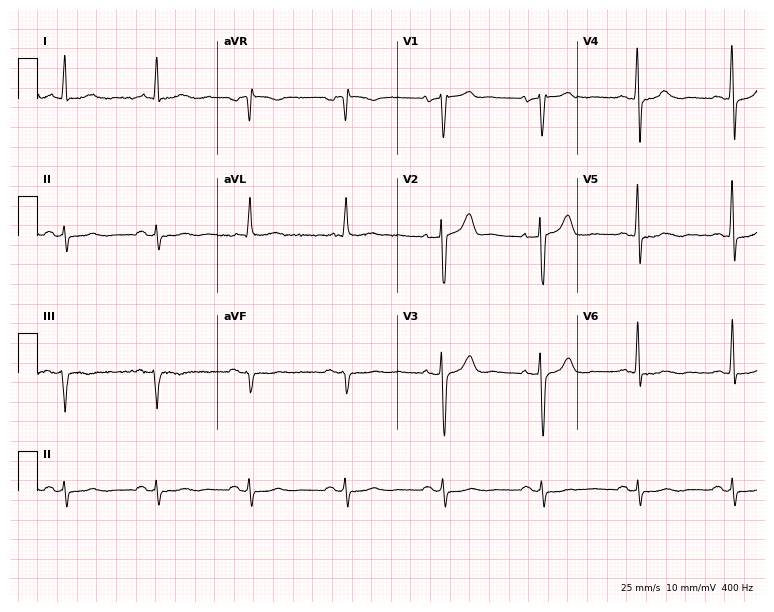
Resting 12-lead electrocardiogram. Patient: a 66-year-old man. None of these six findings is recorded: first-degree AV block, right bundle branch block, left bundle branch block, sinus bradycardia, atrial fibrillation, sinus tachycardia.